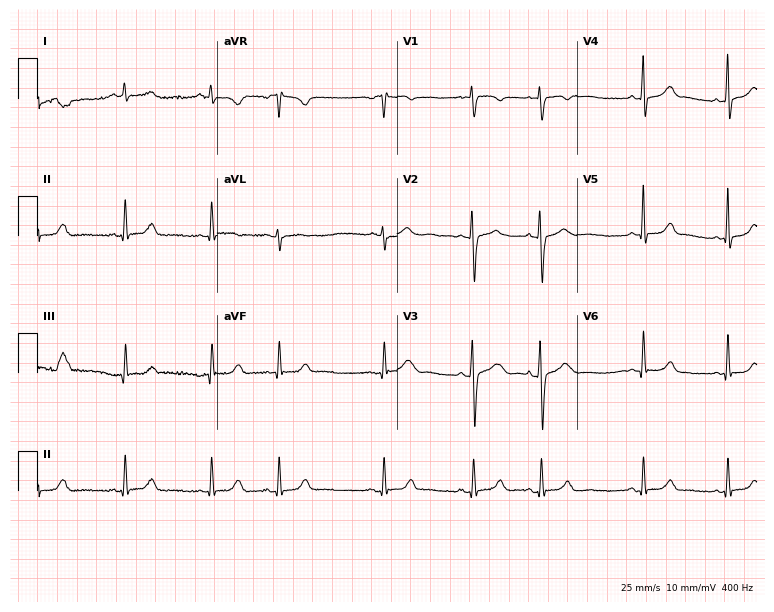
Electrocardiogram, a 19-year-old female. Overall reading on record: normal ECG.